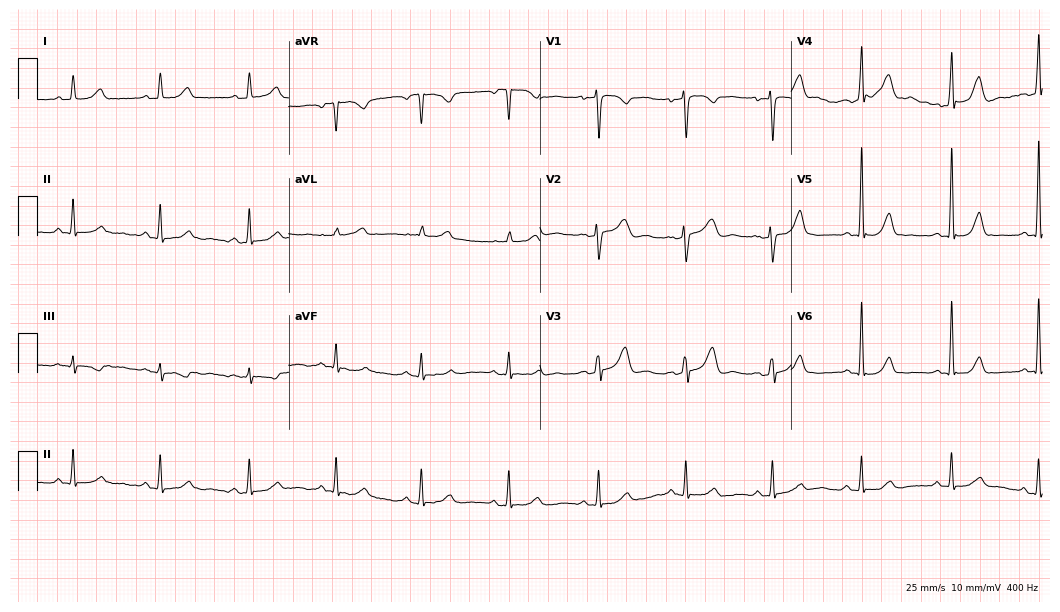
Resting 12-lead electrocardiogram (10.2-second recording at 400 Hz). Patient: a female, 56 years old. Read as a normal ECG.